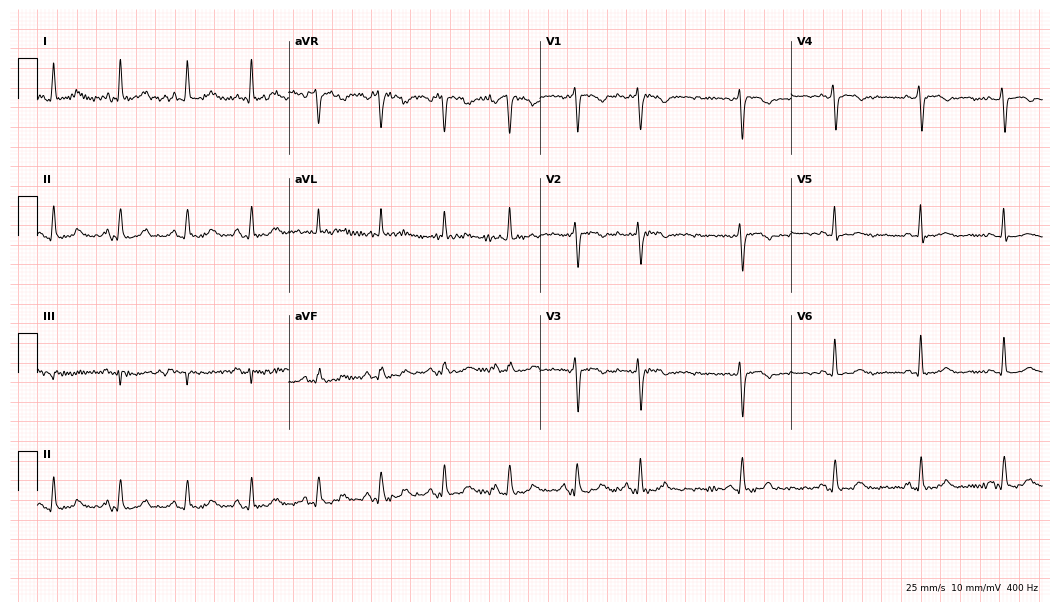
ECG — a 53-year-old female. Screened for six findings — first-degree AV block, right bundle branch block, left bundle branch block, sinus bradycardia, atrial fibrillation, sinus tachycardia — none is recorded. Findings outside these six are not listed.